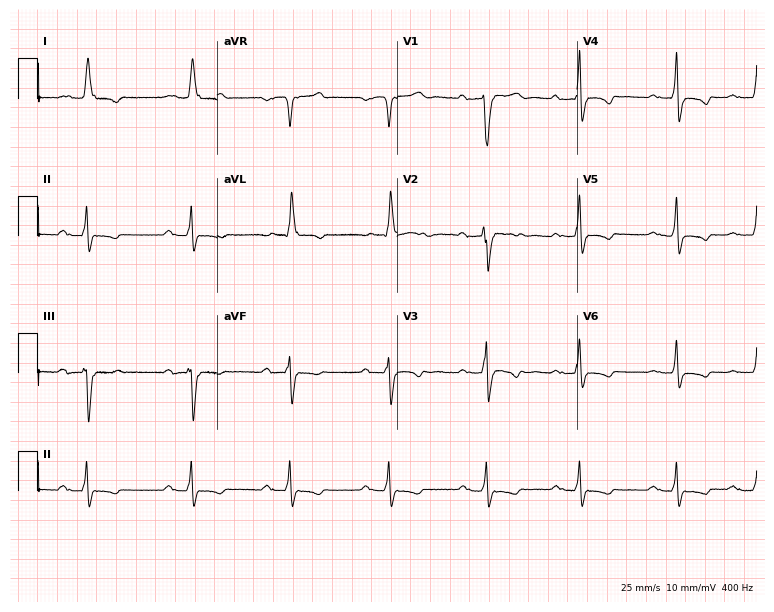
Electrocardiogram, a woman, 61 years old. Interpretation includes first-degree AV block.